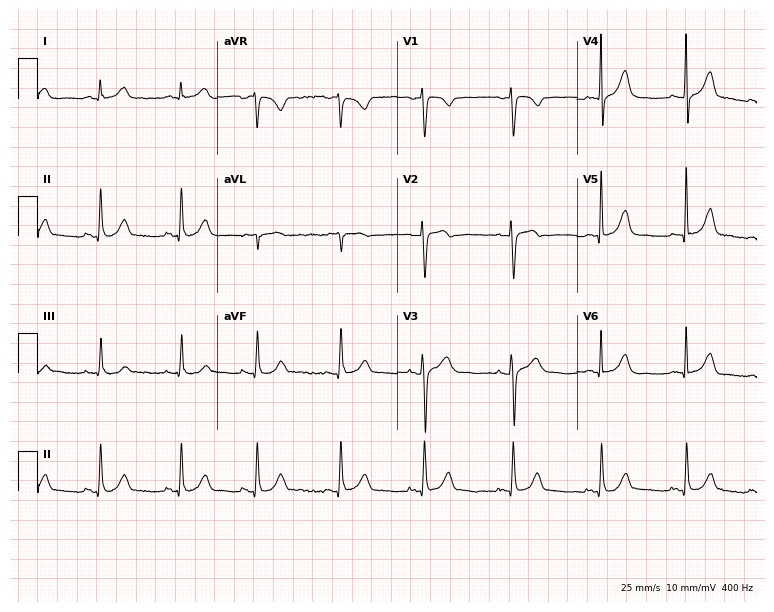
Standard 12-lead ECG recorded from a female, 39 years old (7.3-second recording at 400 Hz). None of these six findings is recorded: first-degree AV block, right bundle branch block, left bundle branch block, sinus bradycardia, atrial fibrillation, sinus tachycardia.